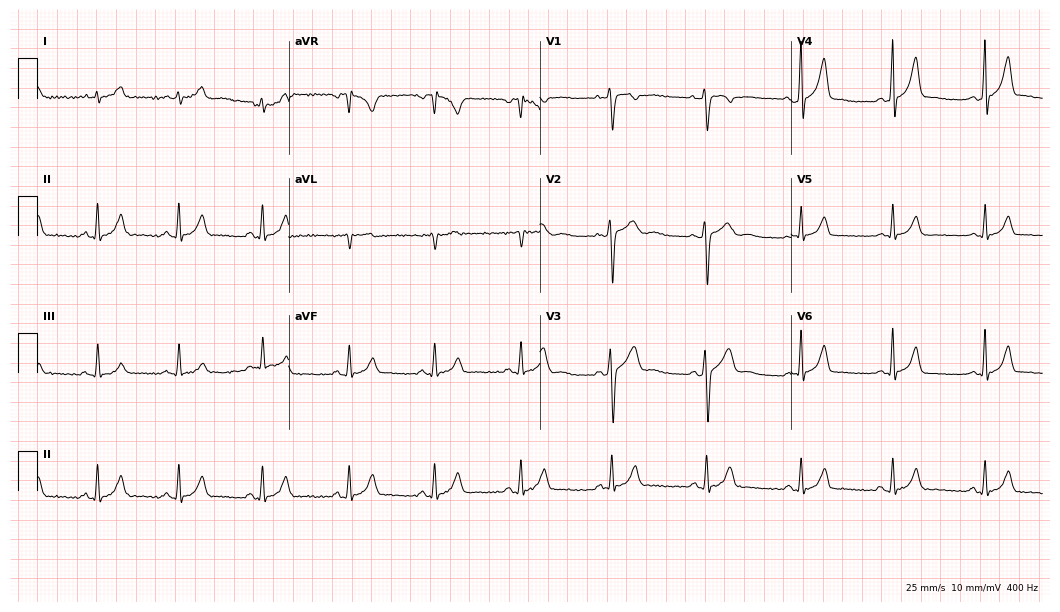
Standard 12-lead ECG recorded from a 26-year-old male. None of these six findings is recorded: first-degree AV block, right bundle branch block, left bundle branch block, sinus bradycardia, atrial fibrillation, sinus tachycardia. Other findings, if any, are not listed.